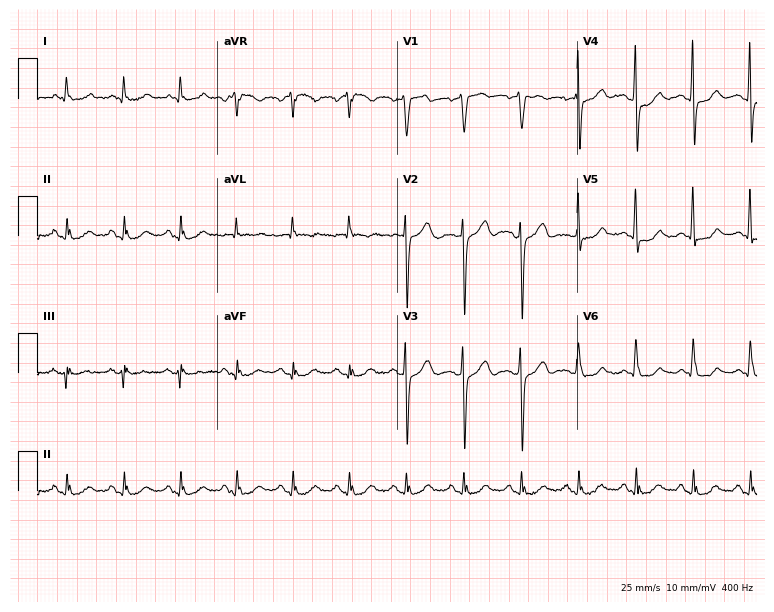
Resting 12-lead electrocardiogram. Patient: a 52-year-old male. The tracing shows sinus tachycardia (a sinus rate of 100 beats per minute or more).